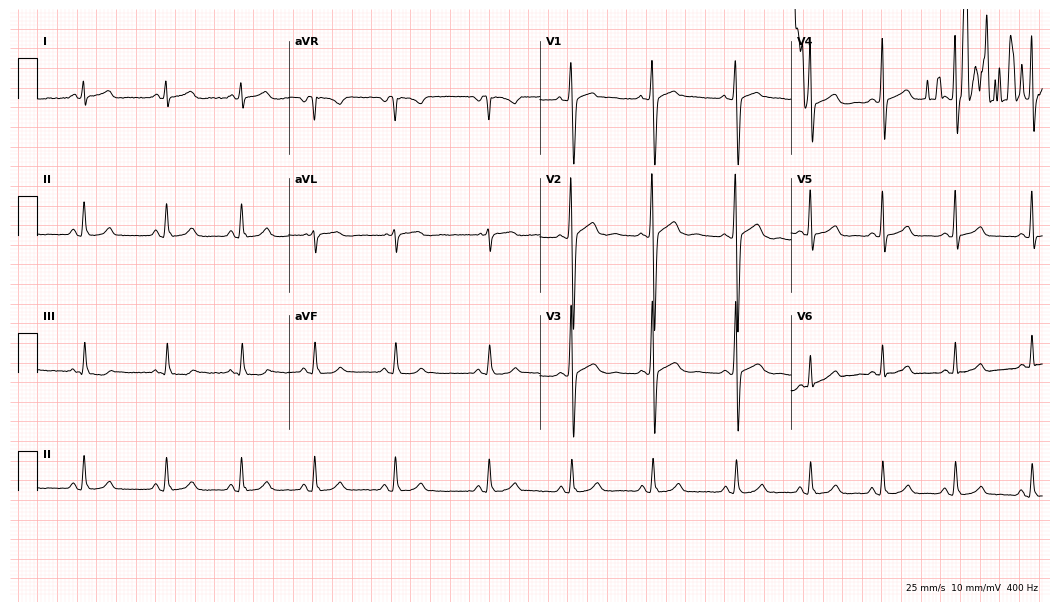
Resting 12-lead electrocardiogram (10.2-second recording at 400 Hz). Patient: a 25-year-old man. None of these six findings is recorded: first-degree AV block, right bundle branch block, left bundle branch block, sinus bradycardia, atrial fibrillation, sinus tachycardia. Other findings, if any, are not listed.